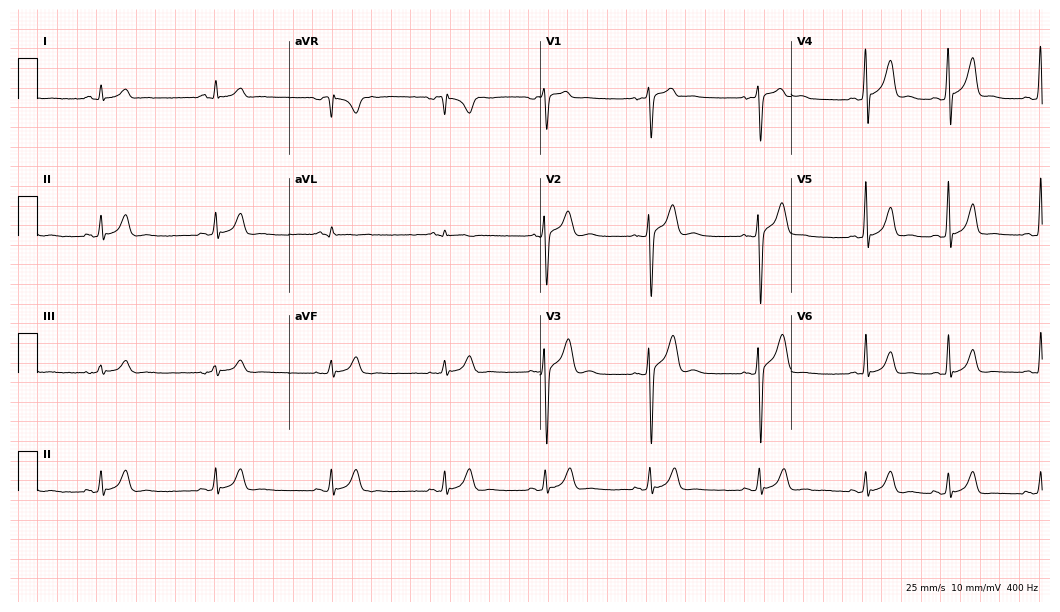
ECG (10.2-second recording at 400 Hz) — a 19-year-old male patient. Labelled as a normal ECG.